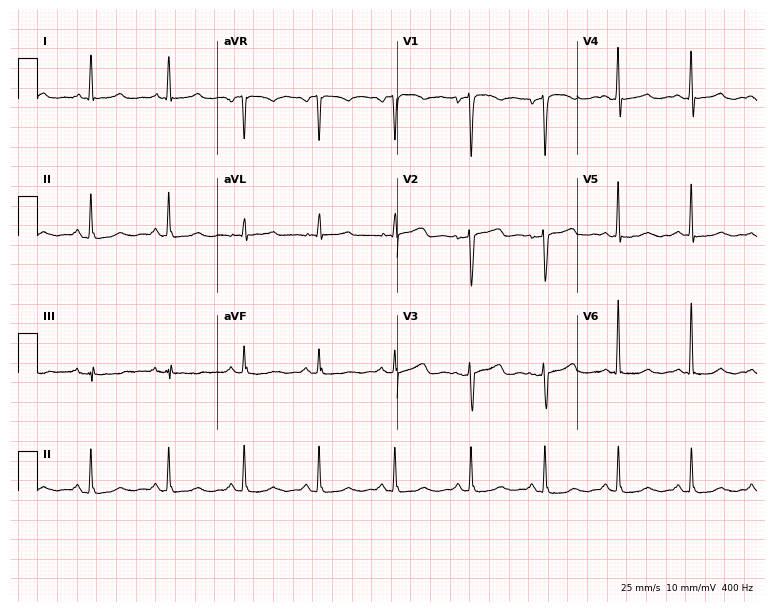
Resting 12-lead electrocardiogram. Patient: a woman, 45 years old. None of these six findings is recorded: first-degree AV block, right bundle branch block, left bundle branch block, sinus bradycardia, atrial fibrillation, sinus tachycardia.